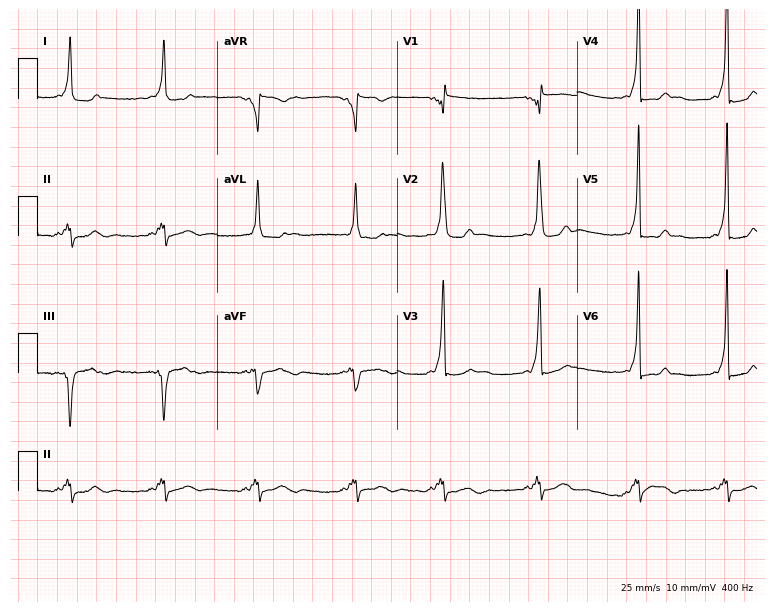
12-lead ECG (7.3-second recording at 400 Hz) from a female patient, 26 years old. Screened for six findings — first-degree AV block, right bundle branch block (RBBB), left bundle branch block (LBBB), sinus bradycardia, atrial fibrillation (AF), sinus tachycardia — none is recorded. Findings outside these six are not listed.